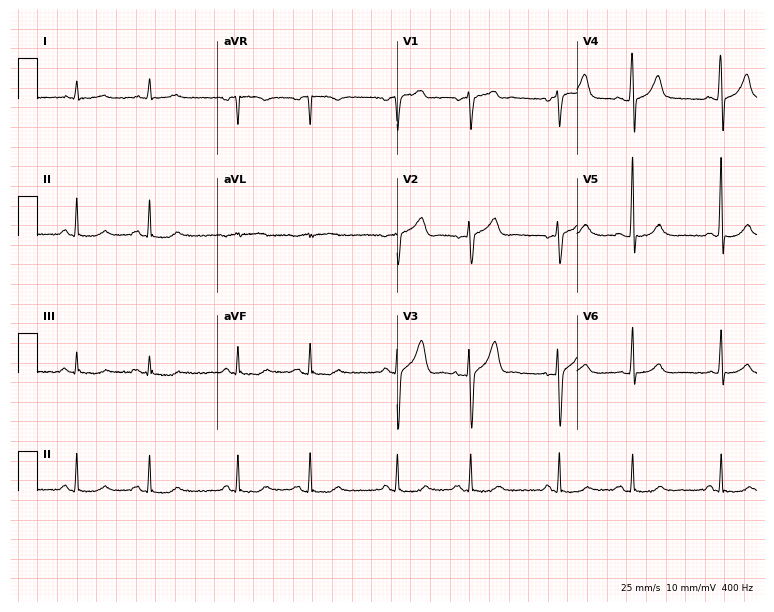
Resting 12-lead electrocardiogram. Patient: a male, 68 years old. None of these six findings is recorded: first-degree AV block, right bundle branch block, left bundle branch block, sinus bradycardia, atrial fibrillation, sinus tachycardia.